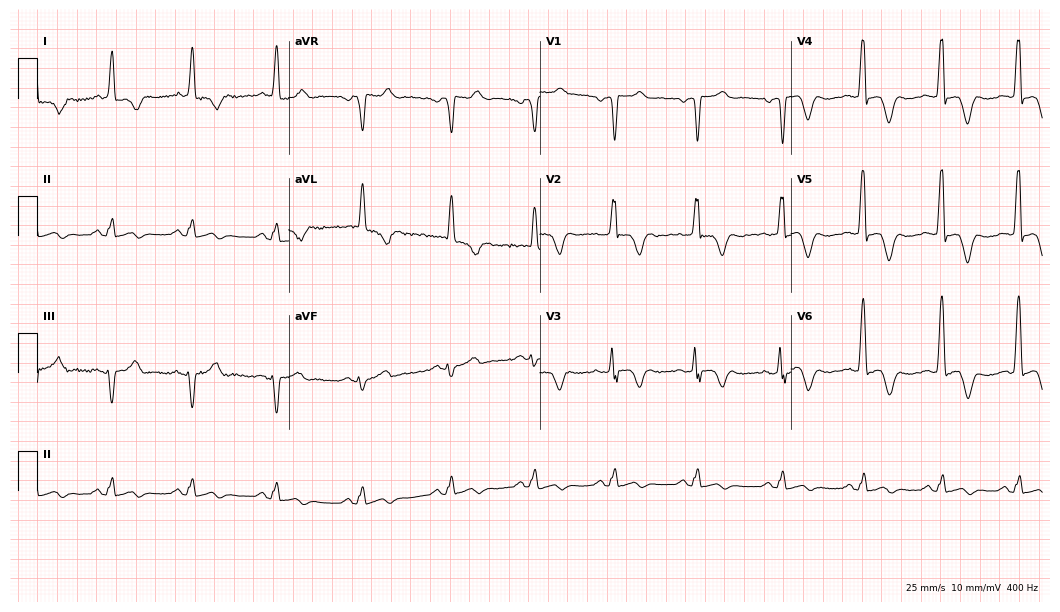
Resting 12-lead electrocardiogram. Patient: a male, 63 years old. None of these six findings is recorded: first-degree AV block, right bundle branch block (RBBB), left bundle branch block (LBBB), sinus bradycardia, atrial fibrillation (AF), sinus tachycardia. Findings outside these six are not listed.